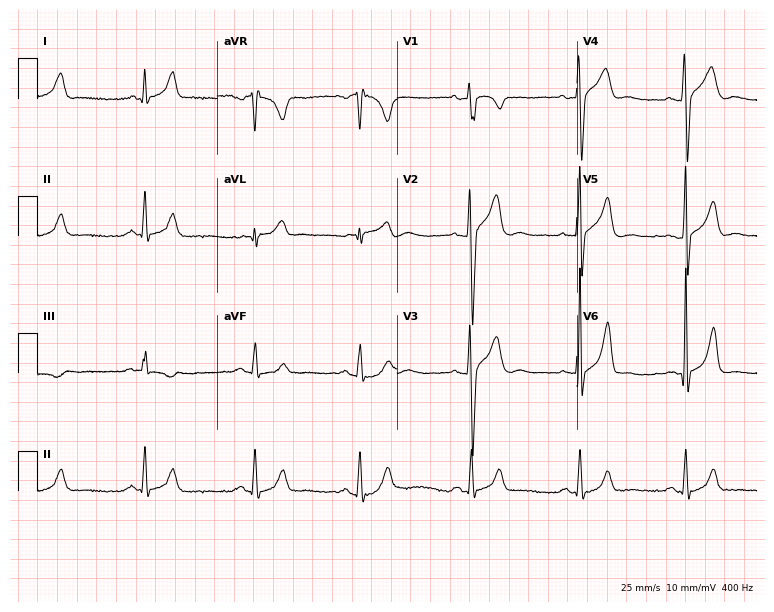
ECG (7.3-second recording at 400 Hz) — a 38-year-old male. Screened for six findings — first-degree AV block, right bundle branch block (RBBB), left bundle branch block (LBBB), sinus bradycardia, atrial fibrillation (AF), sinus tachycardia — none is recorded. Findings outside these six are not listed.